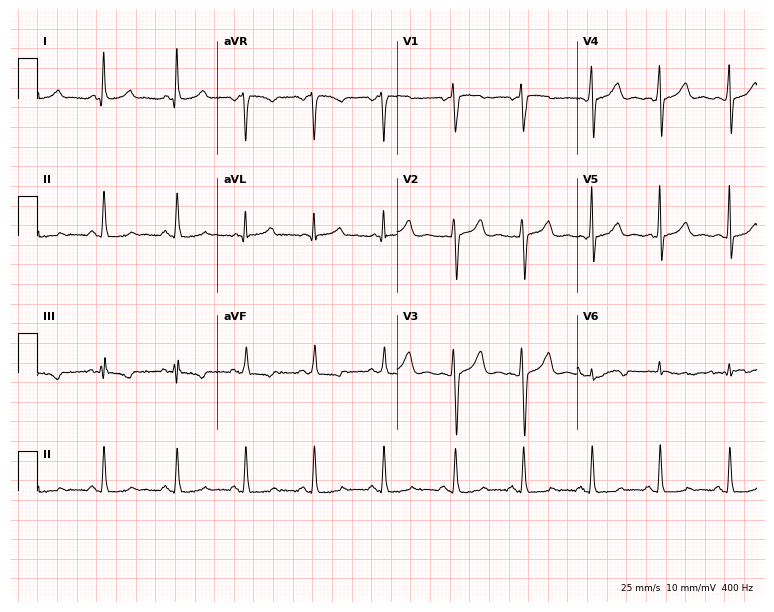
Resting 12-lead electrocardiogram (7.3-second recording at 400 Hz). Patient: a woman, 33 years old. Read as a normal ECG.